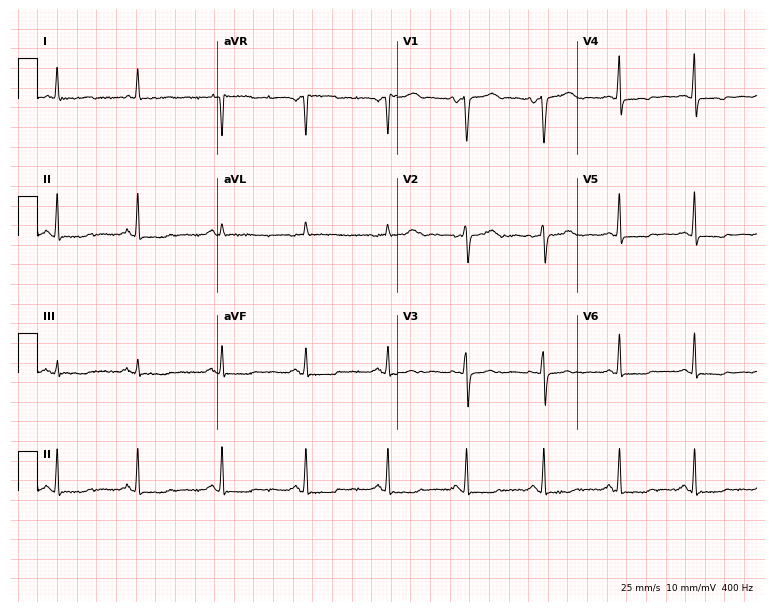
Electrocardiogram, a 53-year-old woman. Of the six screened findings (first-degree AV block, right bundle branch block, left bundle branch block, sinus bradycardia, atrial fibrillation, sinus tachycardia), none is recorded.